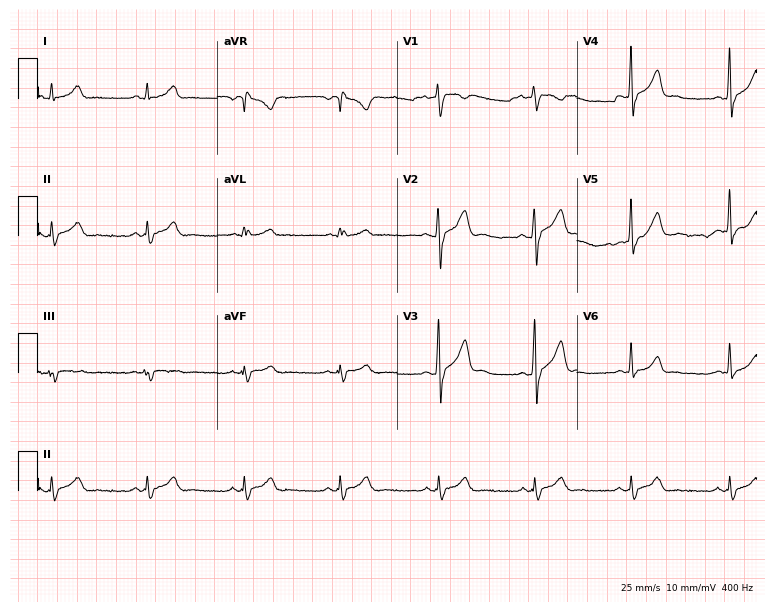
Standard 12-lead ECG recorded from a 31-year-old male patient. Read as a normal ECG.